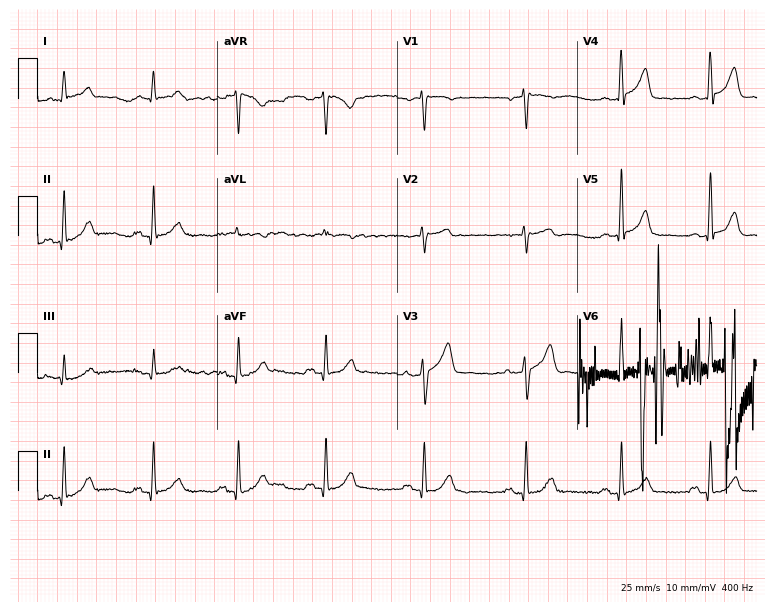
12-lead ECG from a 53-year-old male. Labelled as a normal ECG.